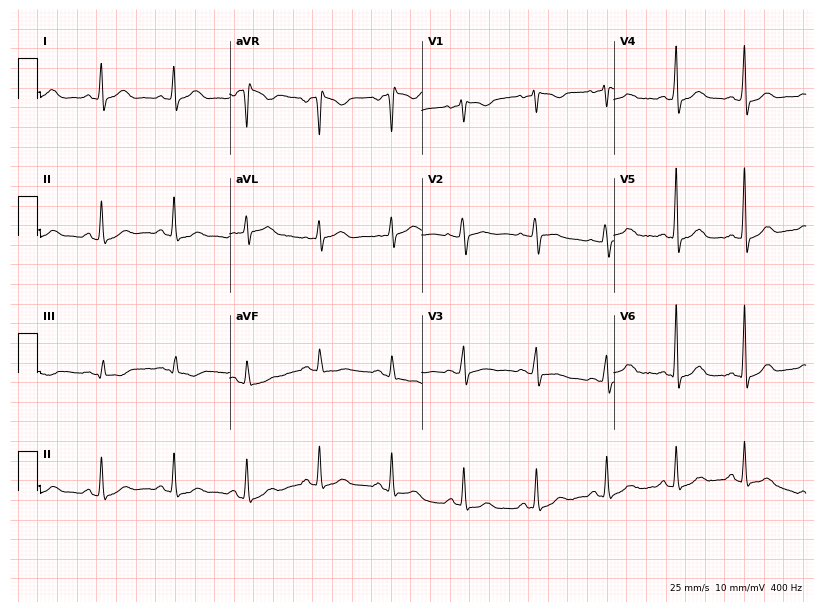
Electrocardiogram, a female patient, 48 years old. Of the six screened findings (first-degree AV block, right bundle branch block, left bundle branch block, sinus bradycardia, atrial fibrillation, sinus tachycardia), none is recorded. Findings outside these six are not listed.